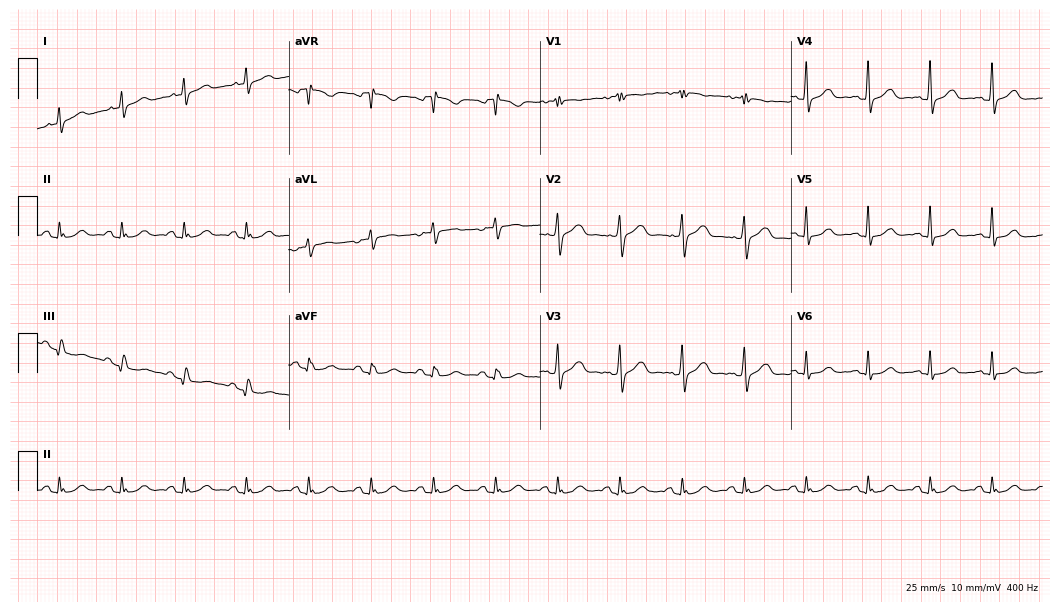
Electrocardiogram (10.2-second recording at 400 Hz), a man, 65 years old. Of the six screened findings (first-degree AV block, right bundle branch block, left bundle branch block, sinus bradycardia, atrial fibrillation, sinus tachycardia), none is recorded. Only these six findings were labelled.